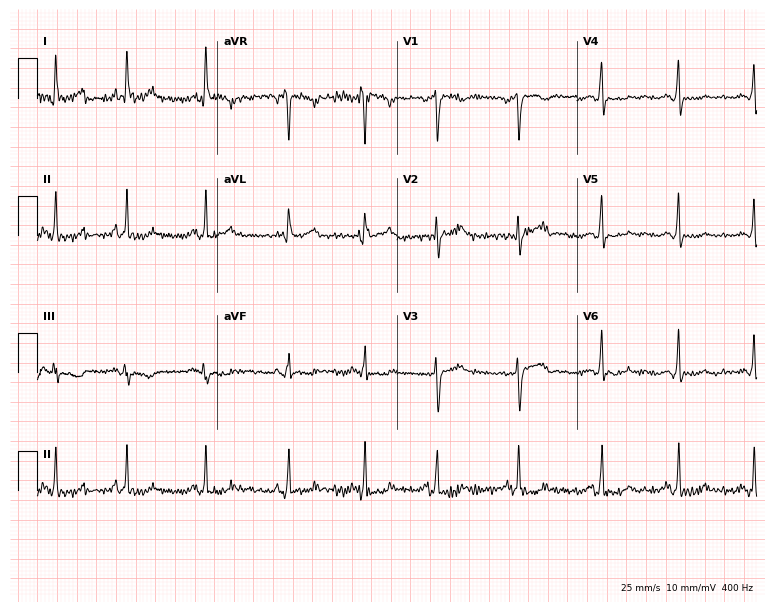
12-lead ECG from a 61-year-old female patient (7.3-second recording at 400 Hz). No first-degree AV block, right bundle branch block (RBBB), left bundle branch block (LBBB), sinus bradycardia, atrial fibrillation (AF) or sinus tachycardia recorded for this tracing.